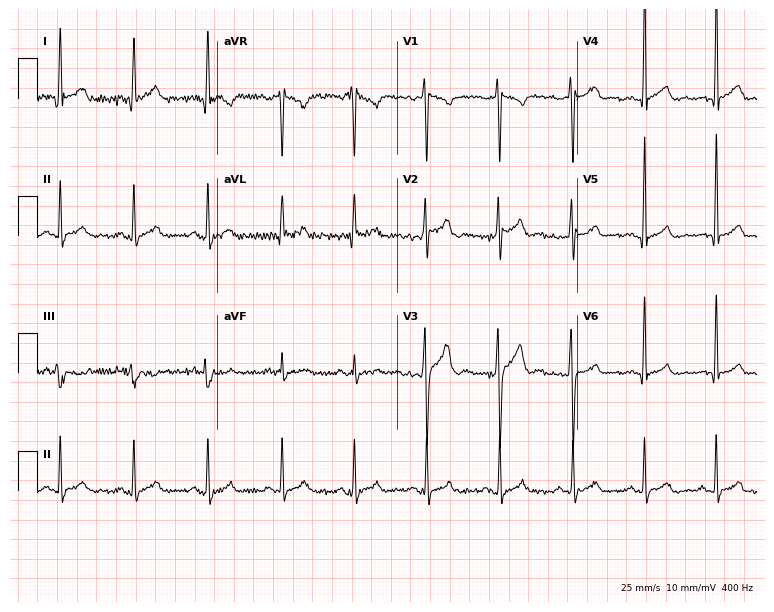
12-lead ECG from a 29-year-old male patient. Screened for six findings — first-degree AV block, right bundle branch block, left bundle branch block, sinus bradycardia, atrial fibrillation, sinus tachycardia — none is recorded.